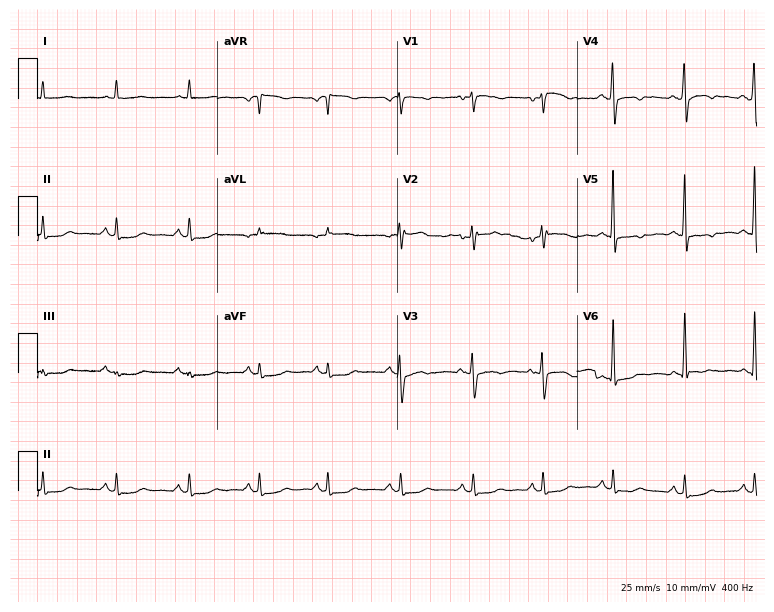
Resting 12-lead electrocardiogram (7.3-second recording at 400 Hz). Patient: a 44-year-old female. None of these six findings is recorded: first-degree AV block, right bundle branch block (RBBB), left bundle branch block (LBBB), sinus bradycardia, atrial fibrillation (AF), sinus tachycardia. Only these six findings were labelled.